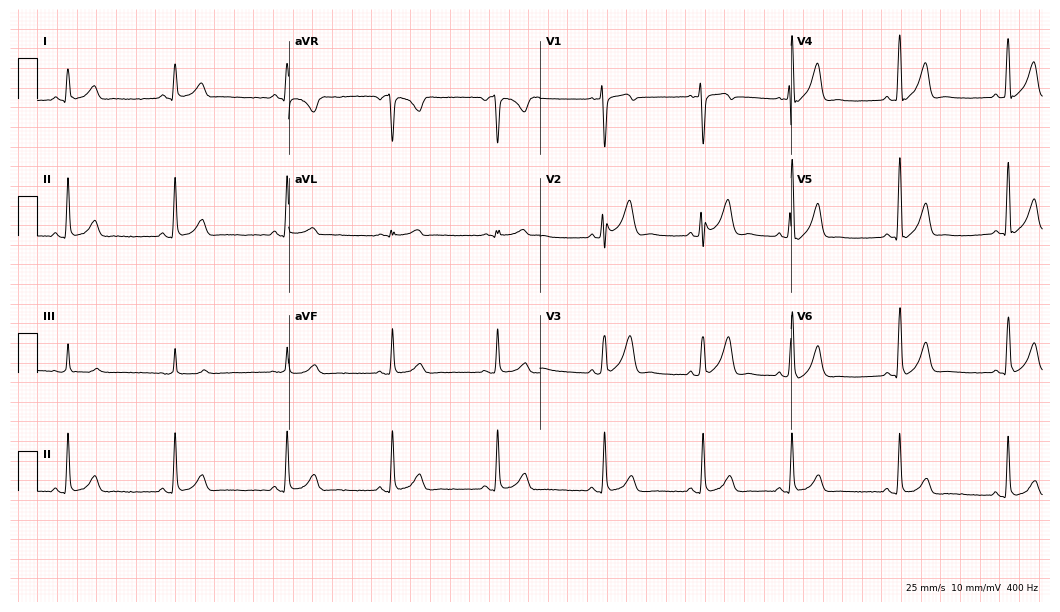
Electrocardiogram, a 33-year-old man. Of the six screened findings (first-degree AV block, right bundle branch block (RBBB), left bundle branch block (LBBB), sinus bradycardia, atrial fibrillation (AF), sinus tachycardia), none is recorded. Findings outside these six are not listed.